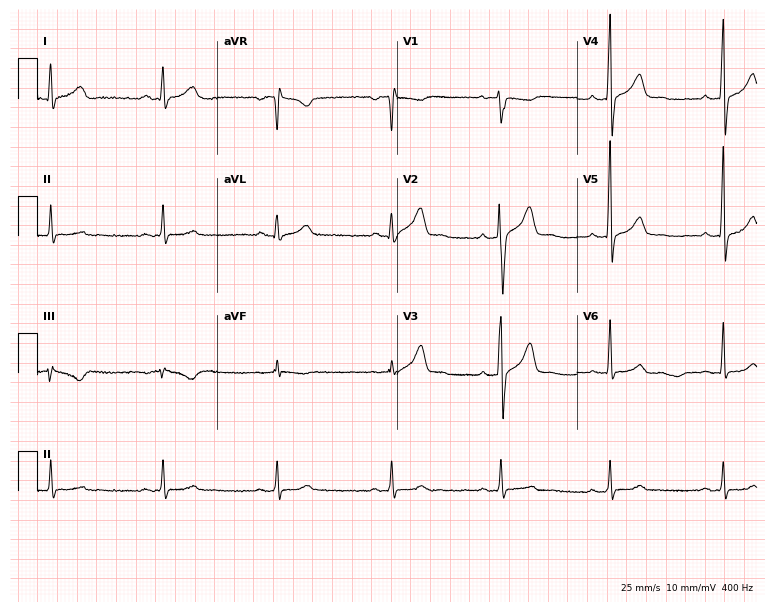
12-lead ECG (7.3-second recording at 400 Hz) from a man, 44 years old. Screened for six findings — first-degree AV block, right bundle branch block, left bundle branch block, sinus bradycardia, atrial fibrillation, sinus tachycardia — none is recorded.